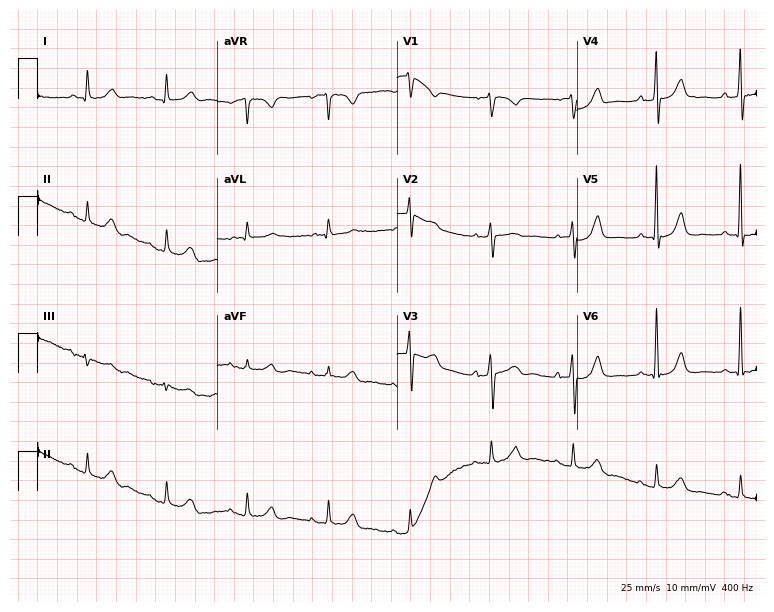
12-lead ECG from a male patient, 79 years old (7.3-second recording at 400 Hz). No first-degree AV block, right bundle branch block, left bundle branch block, sinus bradycardia, atrial fibrillation or sinus tachycardia recorded for this tracing. Only these six findings were labelled.